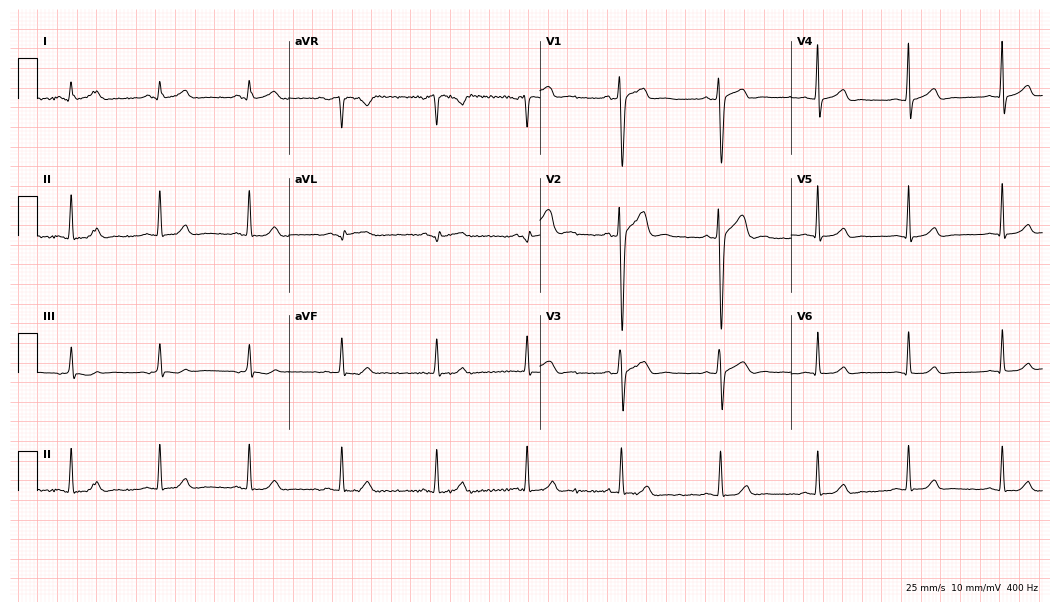
12-lead ECG from a male patient, 17 years old. Labelled as a normal ECG.